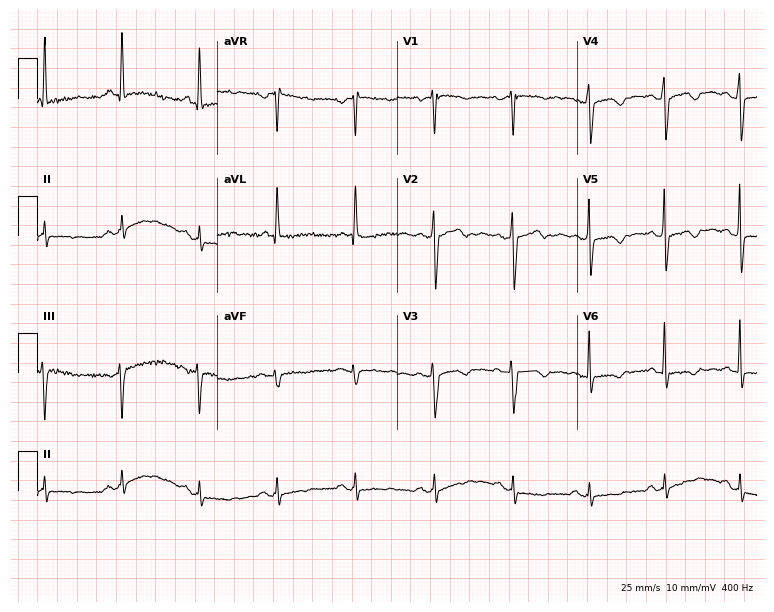
Standard 12-lead ECG recorded from a female patient, 49 years old (7.3-second recording at 400 Hz). None of these six findings is recorded: first-degree AV block, right bundle branch block (RBBB), left bundle branch block (LBBB), sinus bradycardia, atrial fibrillation (AF), sinus tachycardia.